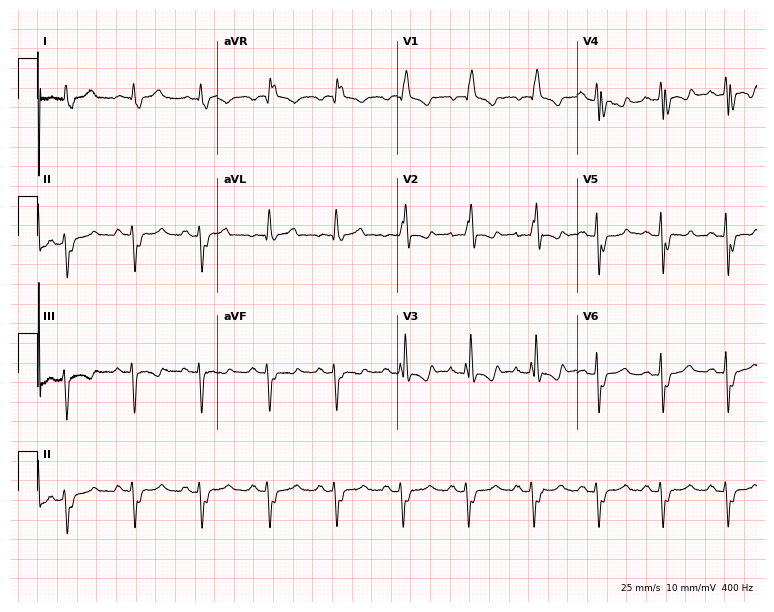
12-lead ECG from a man, 77 years old. Screened for six findings — first-degree AV block, right bundle branch block, left bundle branch block, sinus bradycardia, atrial fibrillation, sinus tachycardia — none is recorded. Only these six findings were labelled.